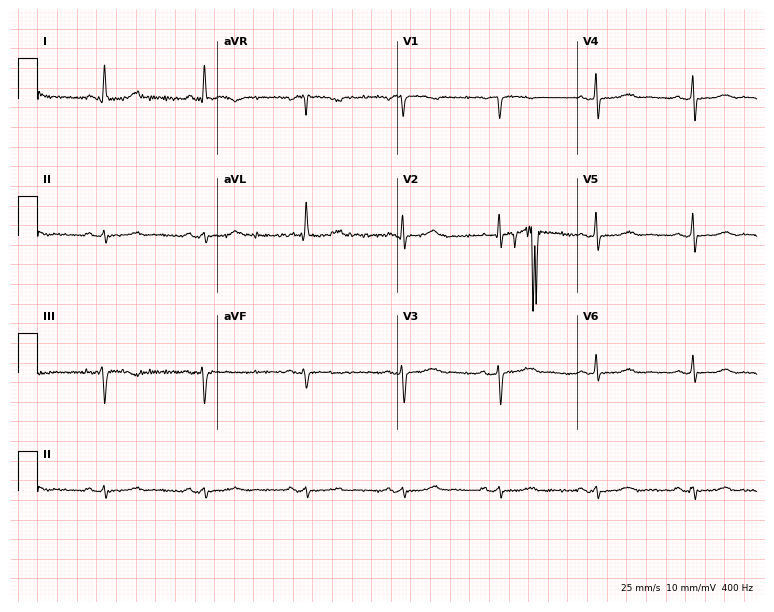
ECG (7.3-second recording at 400 Hz) — a 60-year-old female. Screened for six findings — first-degree AV block, right bundle branch block, left bundle branch block, sinus bradycardia, atrial fibrillation, sinus tachycardia — none is recorded. Only these six findings were labelled.